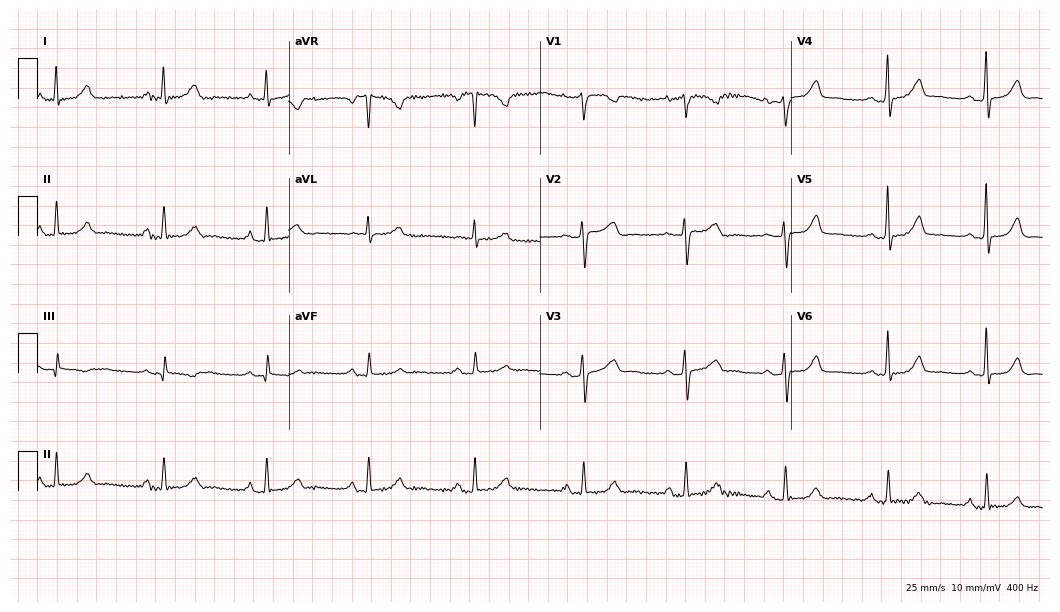
Electrocardiogram, a 56-year-old female patient. Of the six screened findings (first-degree AV block, right bundle branch block, left bundle branch block, sinus bradycardia, atrial fibrillation, sinus tachycardia), none is recorded. Only these six findings were labelled.